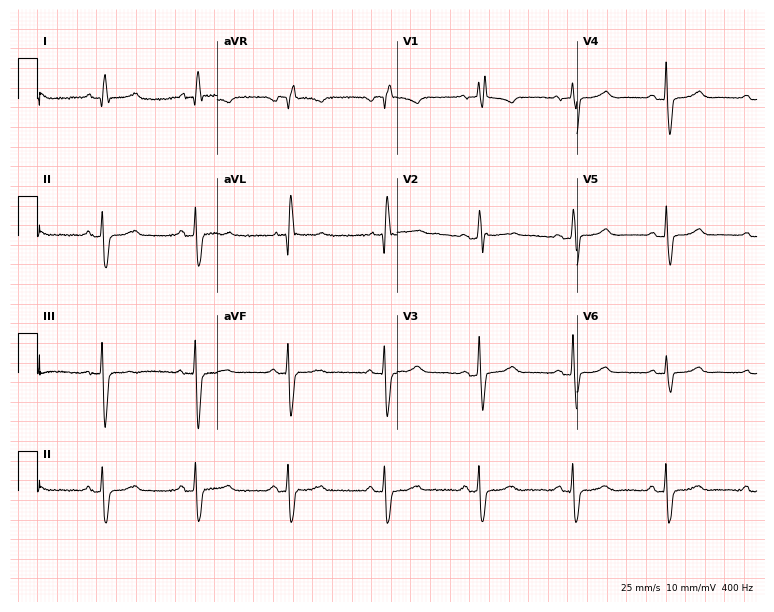
12-lead ECG (7.3-second recording at 400 Hz) from a man, 82 years old. Screened for six findings — first-degree AV block, right bundle branch block (RBBB), left bundle branch block (LBBB), sinus bradycardia, atrial fibrillation (AF), sinus tachycardia — none is recorded. Other findings, if any, are not listed.